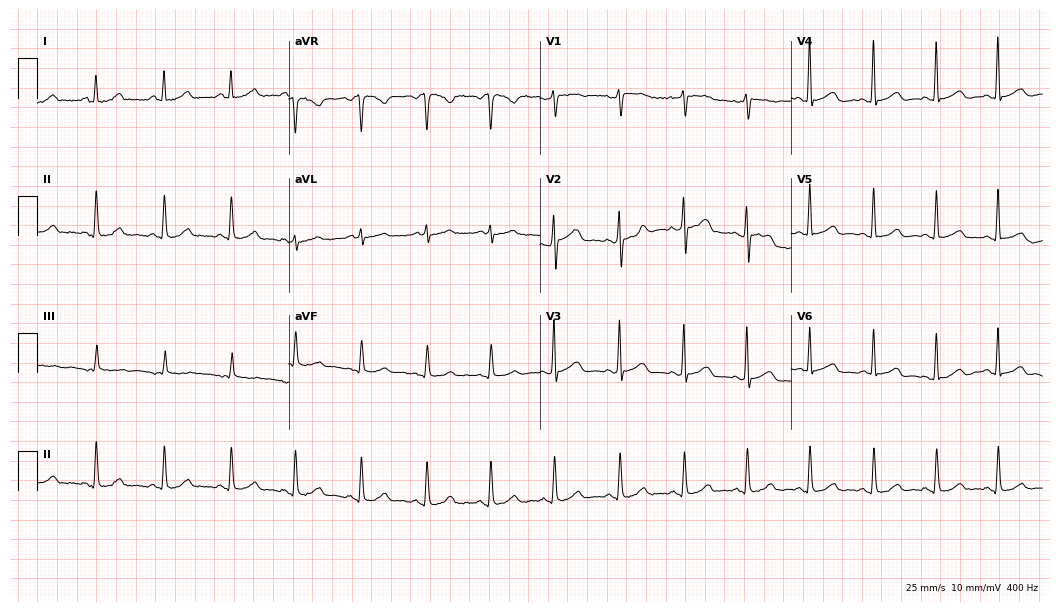
12-lead ECG from a female, 43 years old. Recorded interpretation: within normal limits.